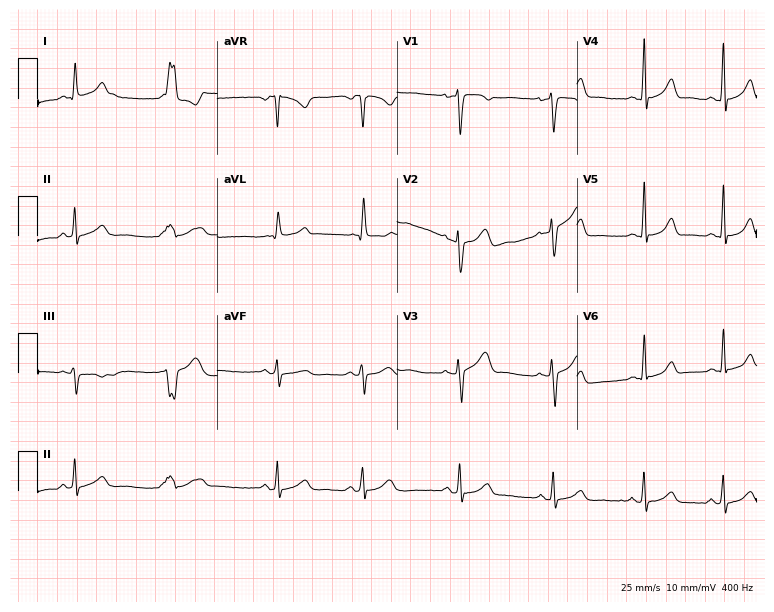
Resting 12-lead electrocardiogram. Patient: a 26-year-old female. None of these six findings is recorded: first-degree AV block, right bundle branch block, left bundle branch block, sinus bradycardia, atrial fibrillation, sinus tachycardia. Other findings, if any, are not listed.